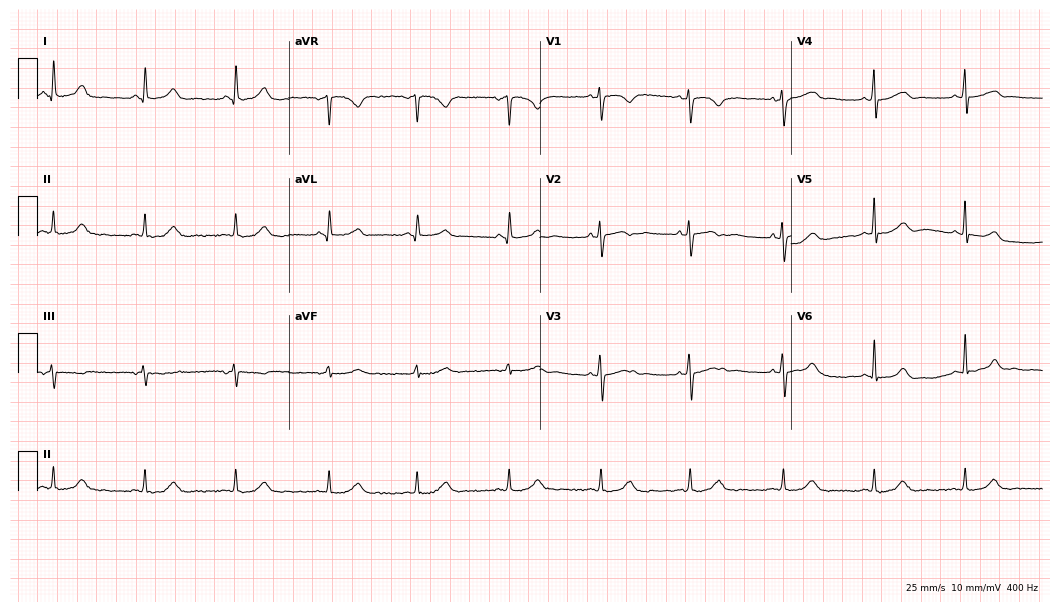
Electrocardiogram (10.2-second recording at 400 Hz), a 38-year-old female. Overall reading on record: normal ECG.